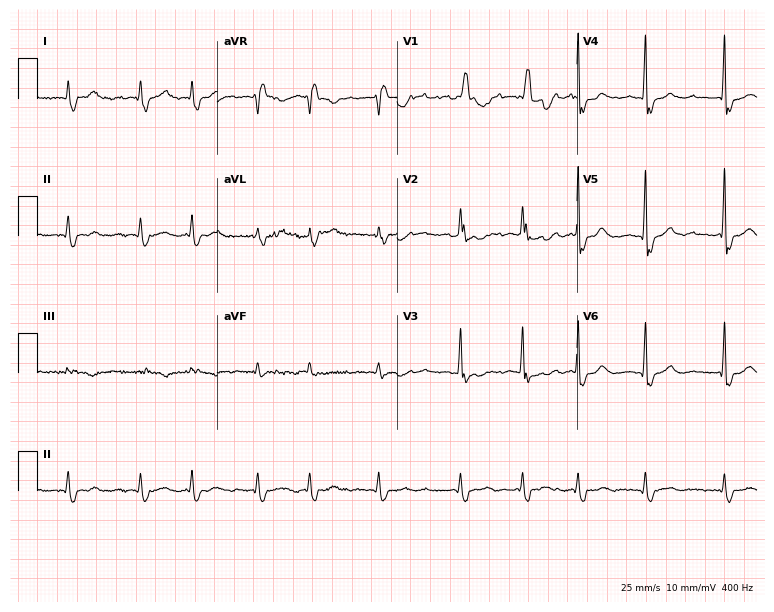
Standard 12-lead ECG recorded from a female, 82 years old. The tracing shows right bundle branch block (RBBB).